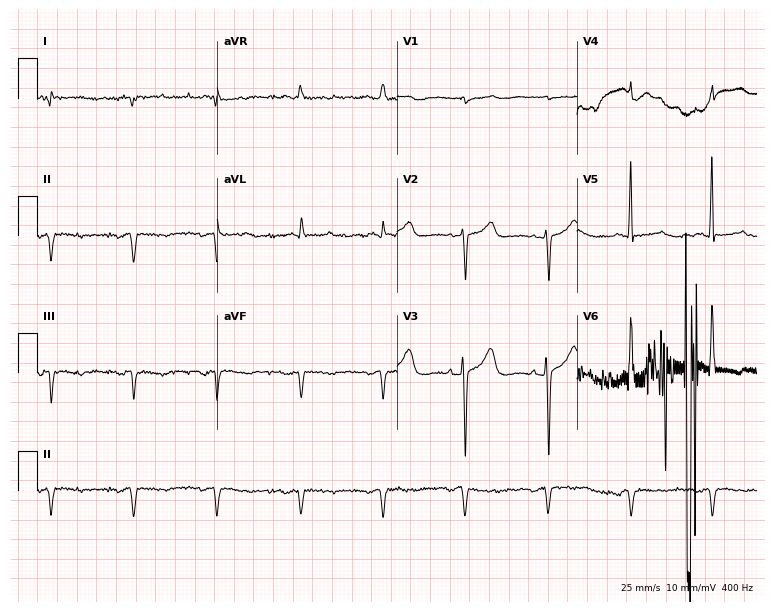
Resting 12-lead electrocardiogram. Patient: a woman, 64 years old. None of these six findings is recorded: first-degree AV block, right bundle branch block, left bundle branch block, sinus bradycardia, atrial fibrillation, sinus tachycardia.